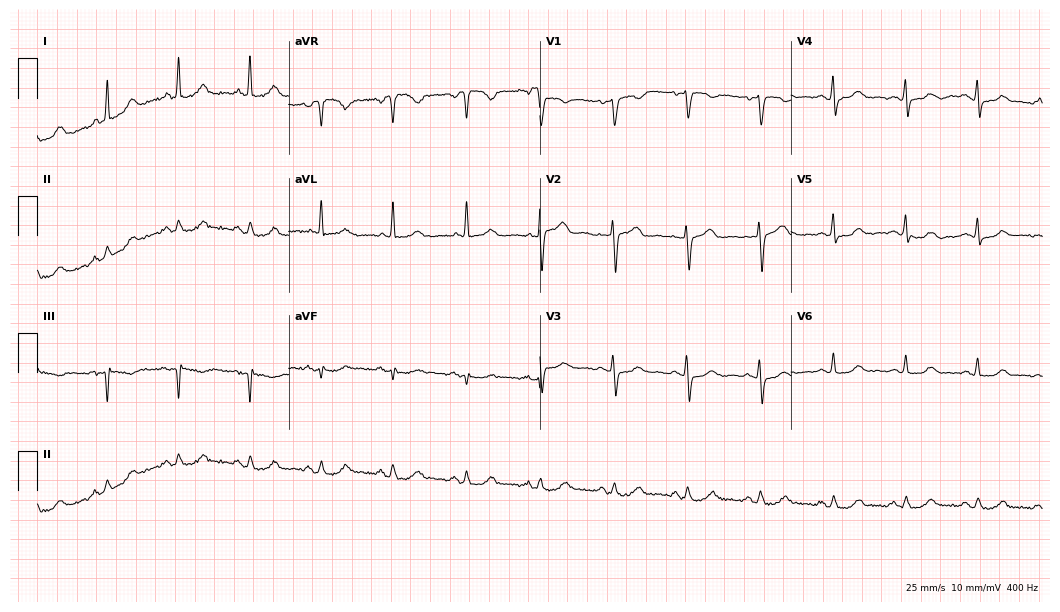
ECG (10.2-second recording at 400 Hz) — a female patient, 68 years old. Screened for six findings — first-degree AV block, right bundle branch block (RBBB), left bundle branch block (LBBB), sinus bradycardia, atrial fibrillation (AF), sinus tachycardia — none is recorded.